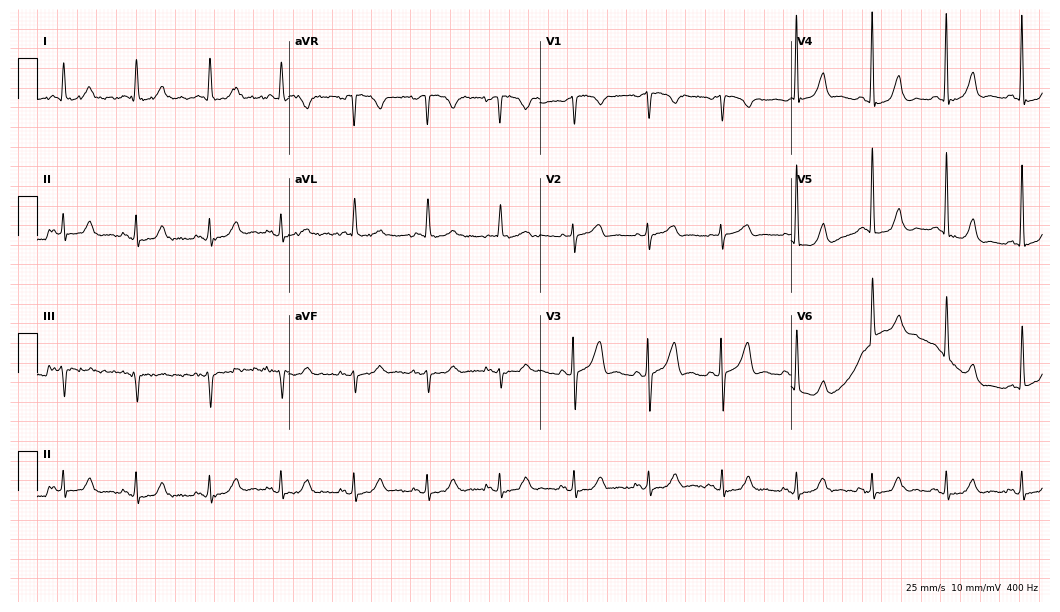
ECG (10.2-second recording at 400 Hz) — a woman, 84 years old. Screened for six findings — first-degree AV block, right bundle branch block, left bundle branch block, sinus bradycardia, atrial fibrillation, sinus tachycardia — none is recorded. Findings outside these six are not listed.